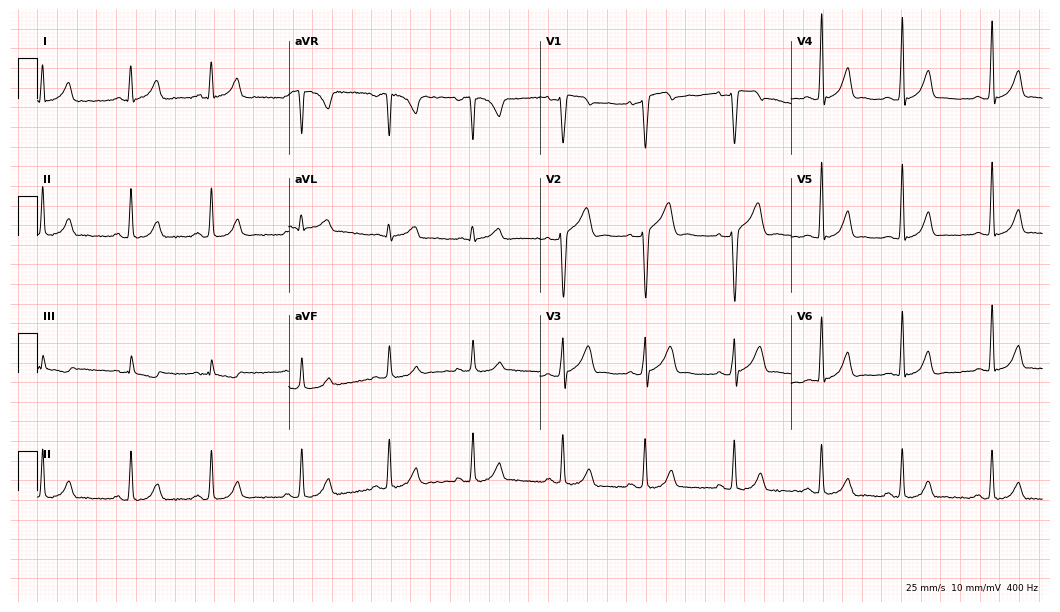
Electrocardiogram (10.2-second recording at 400 Hz), a male, 19 years old. Of the six screened findings (first-degree AV block, right bundle branch block, left bundle branch block, sinus bradycardia, atrial fibrillation, sinus tachycardia), none is recorded.